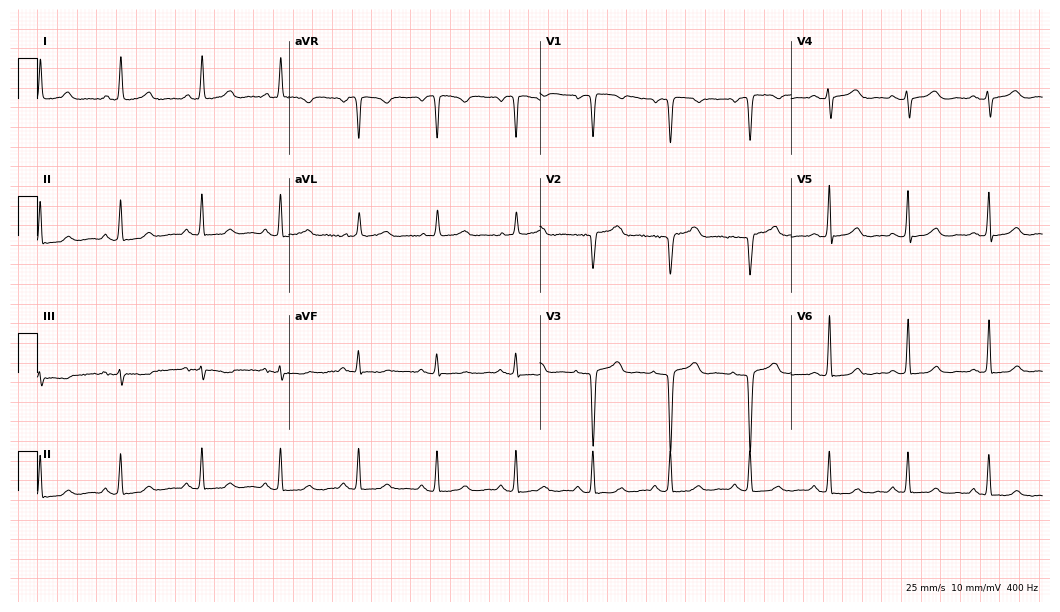
Electrocardiogram, a female, 55 years old. Of the six screened findings (first-degree AV block, right bundle branch block, left bundle branch block, sinus bradycardia, atrial fibrillation, sinus tachycardia), none is recorded. Only these six findings were labelled.